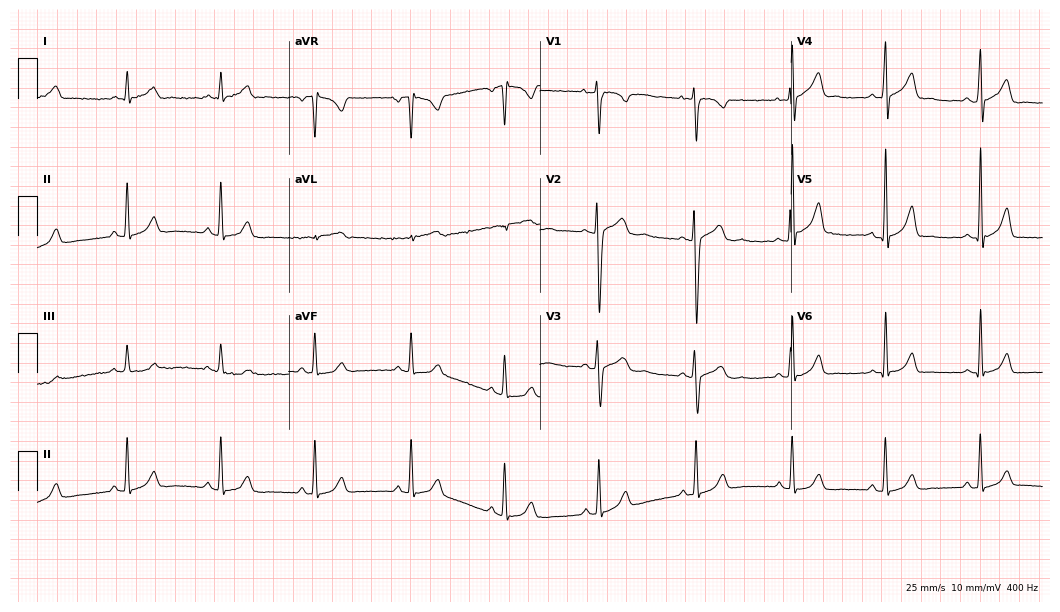
Electrocardiogram (10.2-second recording at 400 Hz), a man, 28 years old. Overall reading on record: normal ECG.